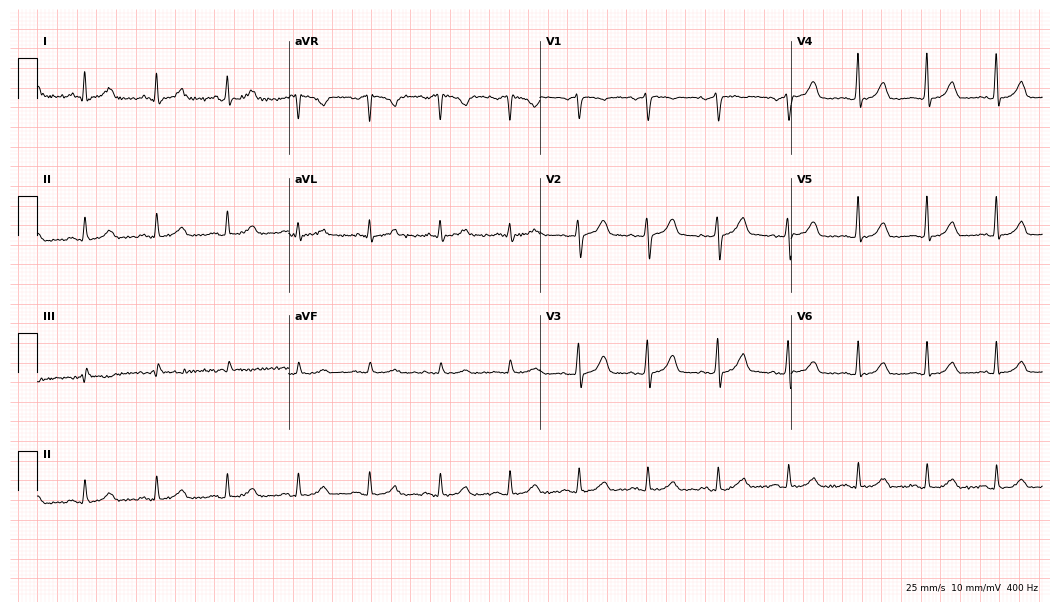
Resting 12-lead electrocardiogram (10.2-second recording at 400 Hz). Patient: a woman, 43 years old. Read as a normal ECG.